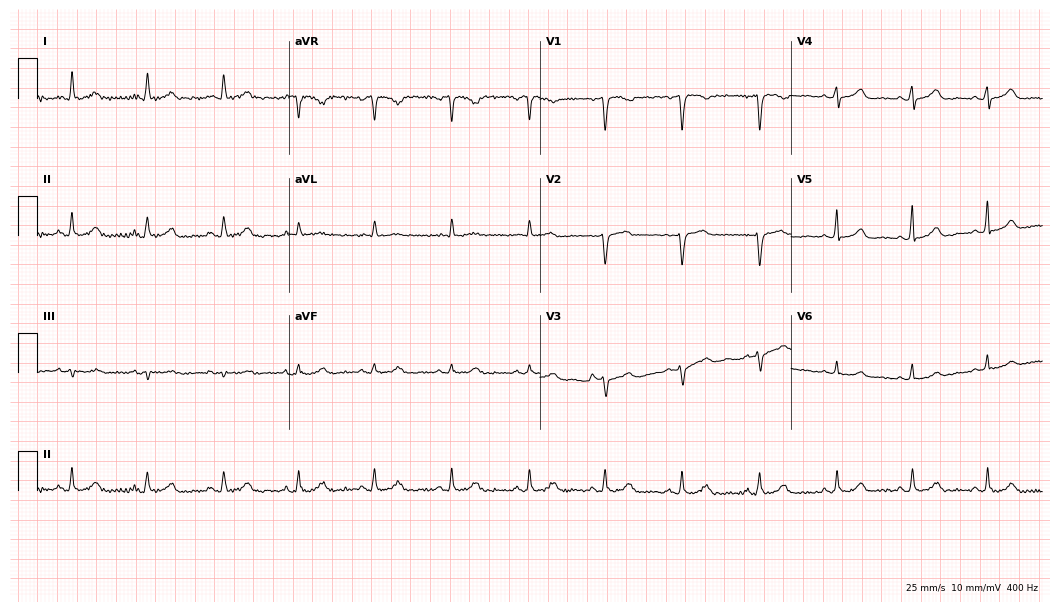
12-lead ECG from a female patient, 51 years old. Labelled as a normal ECG.